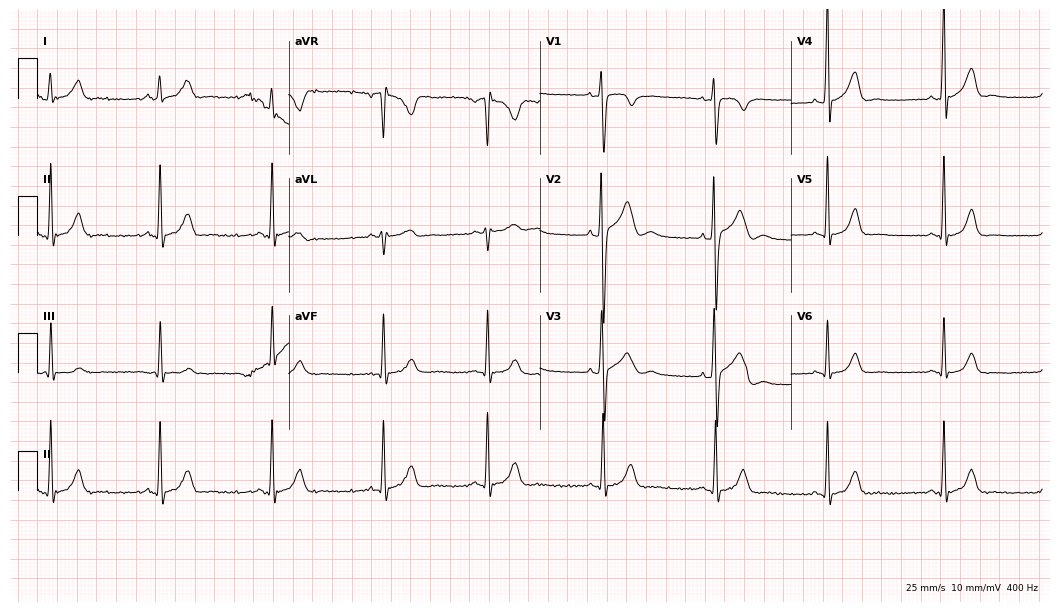
Standard 12-lead ECG recorded from a man, 27 years old (10.2-second recording at 400 Hz). Read as a normal ECG.